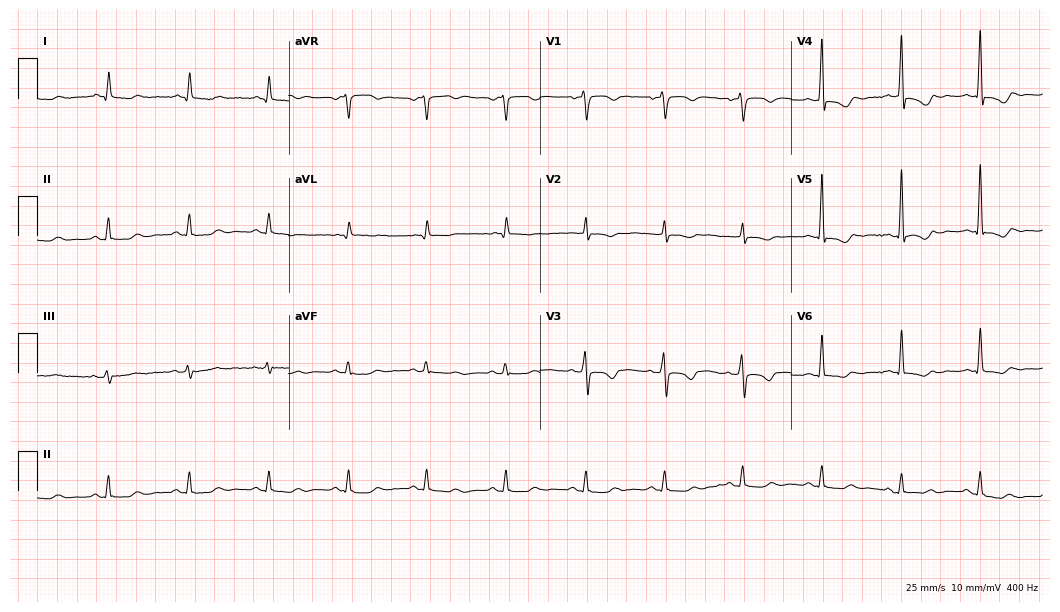
12-lead ECG from a woman, 57 years old. Screened for six findings — first-degree AV block, right bundle branch block, left bundle branch block, sinus bradycardia, atrial fibrillation, sinus tachycardia — none is recorded.